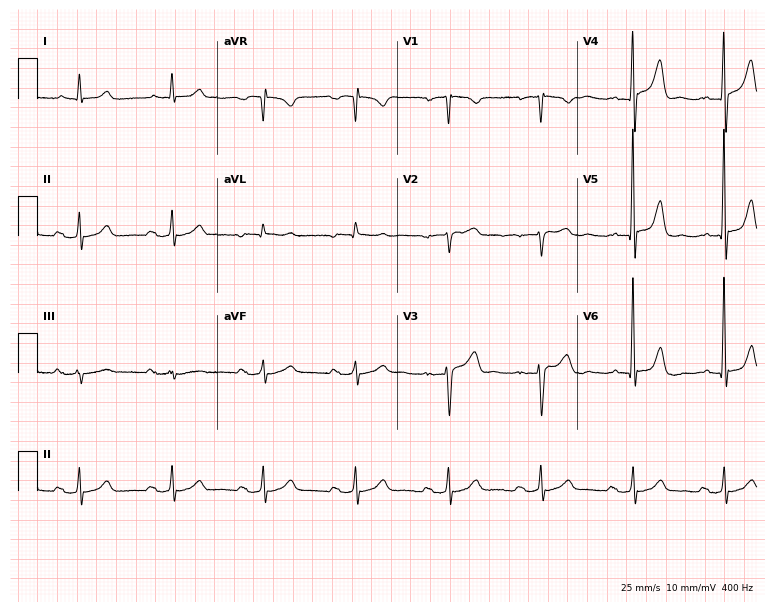
Resting 12-lead electrocardiogram (7.3-second recording at 400 Hz). Patient: a 75-year-old man. None of these six findings is recorded: first-degree AV block, right bundle branch block, left bundle branch block, sinus bradycardia, atrial fibrillation, sinus tachycardia. Other findings, if any, are not listed.